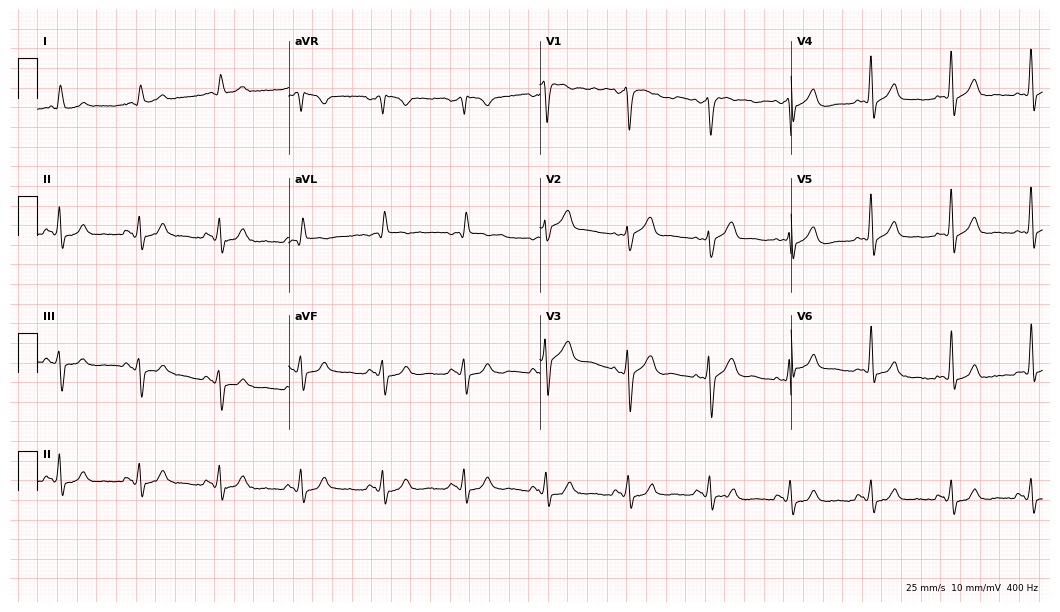
ECG — a 72-year-old male. Labelled as a normal ECG.